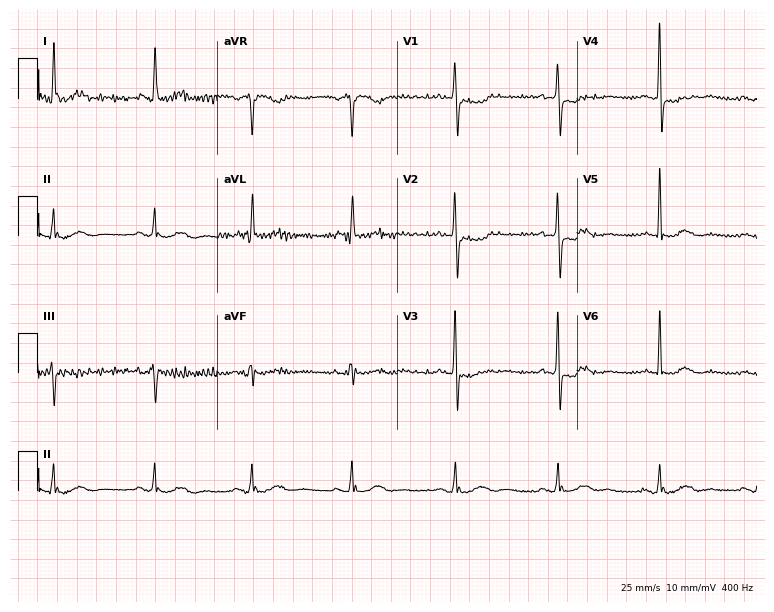
Electrocardiogram (7.3-second recording at 400 Hz), a woman, 84 years old. Overall reading on record: normal ECG.